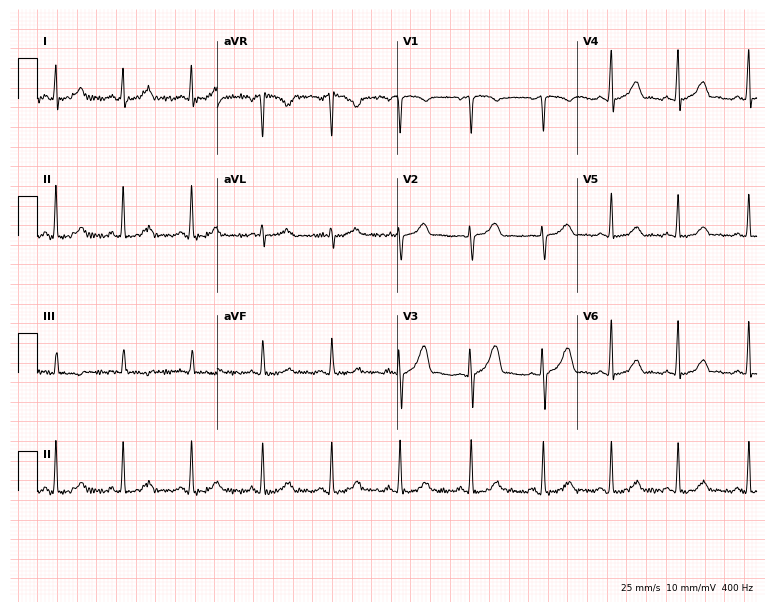
ECG (7.3-second recording at 400 Hz) — a 33-year-old female patient. Labelled as a normal ECG.